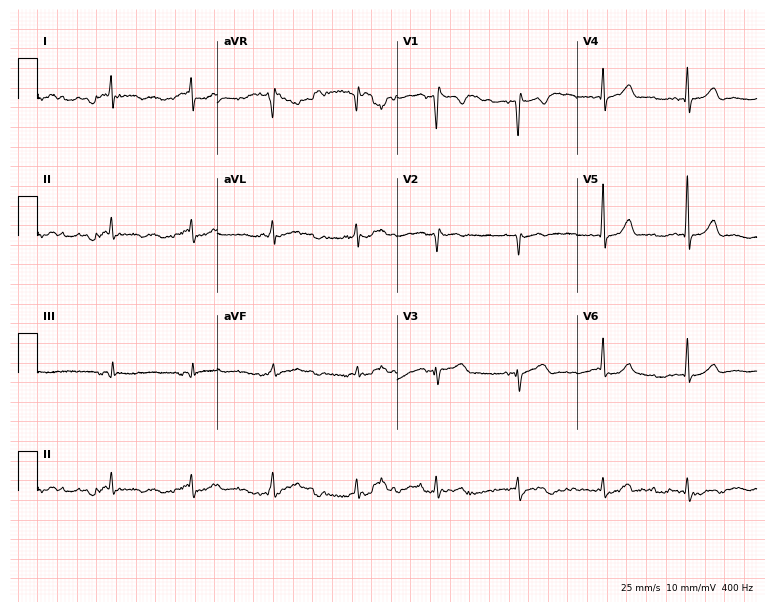
ECG (7.3-second recording at 400 Hz) — a female, 72 years old. Screened for six findings — first-degree AV block, right bundle branch block (RBBB), left bundle branch block (LBBB), sinus bradycardia, atrial fibrillation (AF), sinus tachycardia — none is recorded.